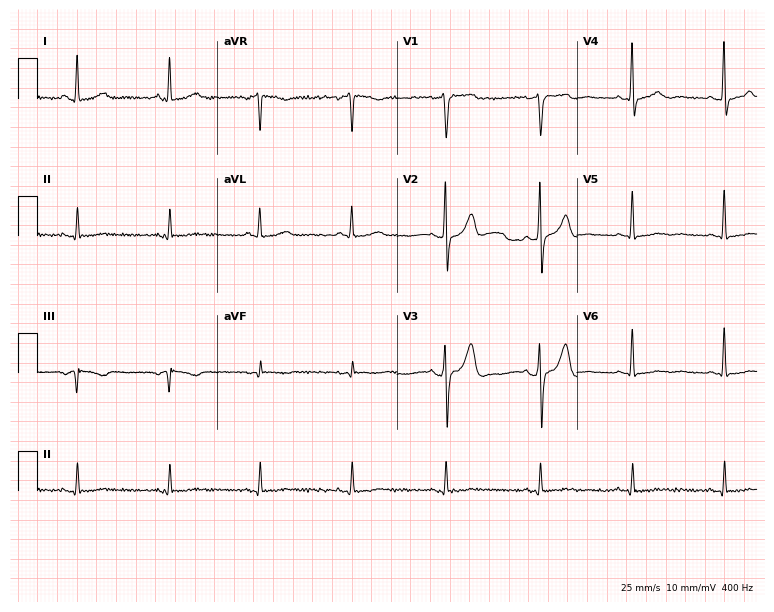
12-lead ECG (7.3-second recording at 400 Hz) from a 42-year-old male patient. Screened for six findings — first-degree AV block, right bundle branch block, left bundle branch block, sinus bradycardia, atrial fibrillation, sinus tachycardia — none is recorded.